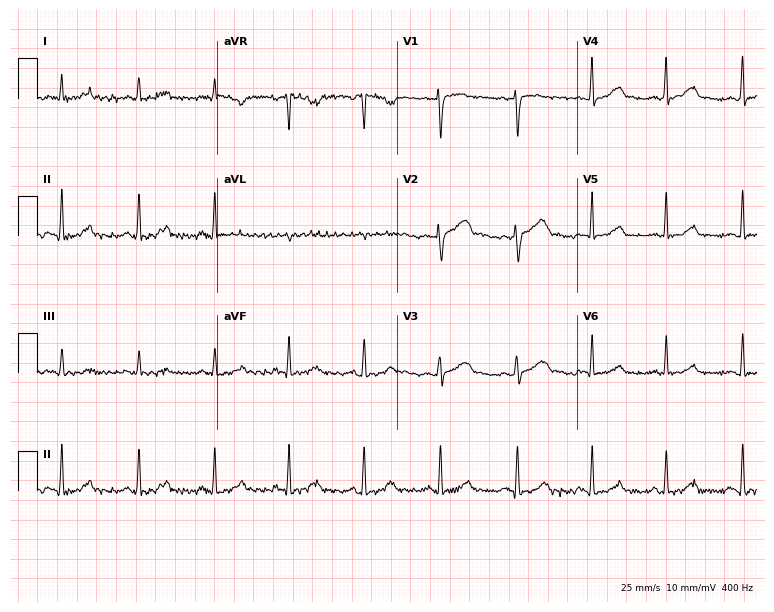
12-lead ECG (7.3-second recording at 400 Hz) from a female patient, 28 years old. Labelled as a normal ECG.